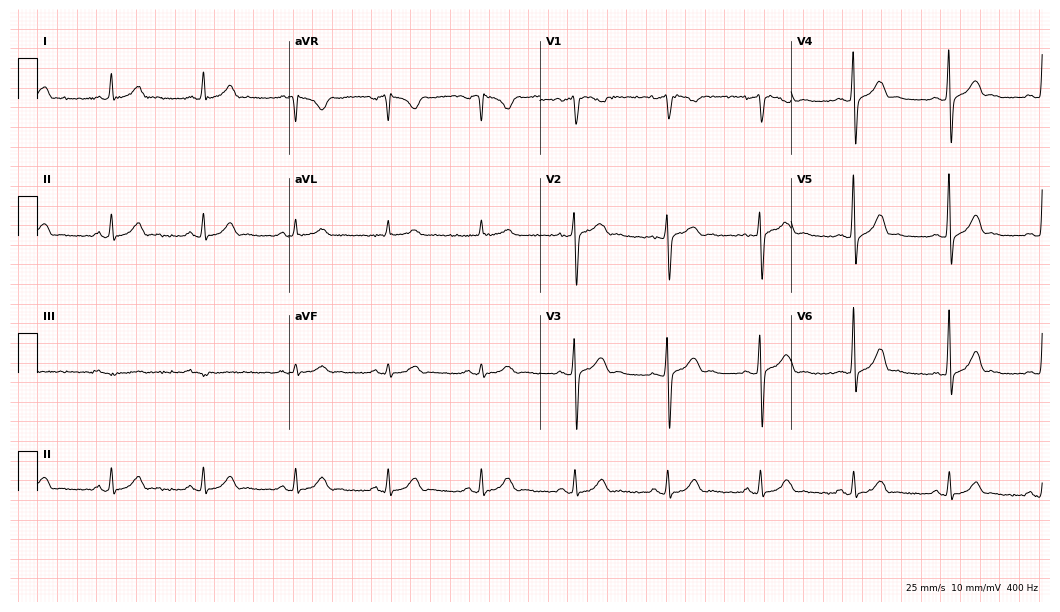
ECG (10.2-second recording at 400 Hz) — a 60-year-old male. Screened for six findings — first-degree AV block, right bundle branch block, left bundle branch block, sinus bradycardia, atrial fibrillation, sinus tachycardia — none is recorded. Other findings, if any, are not listed.